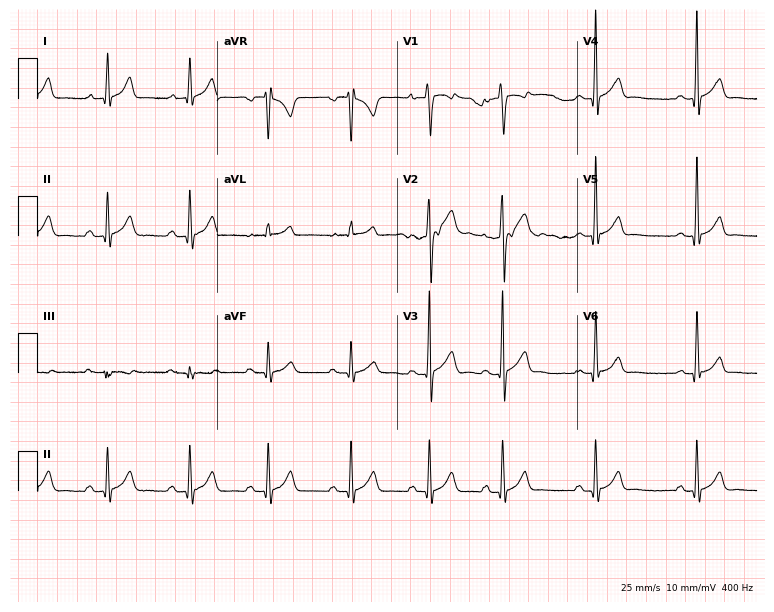
ECG — a male patient, 20 years old. Labelled as a normal ECG.